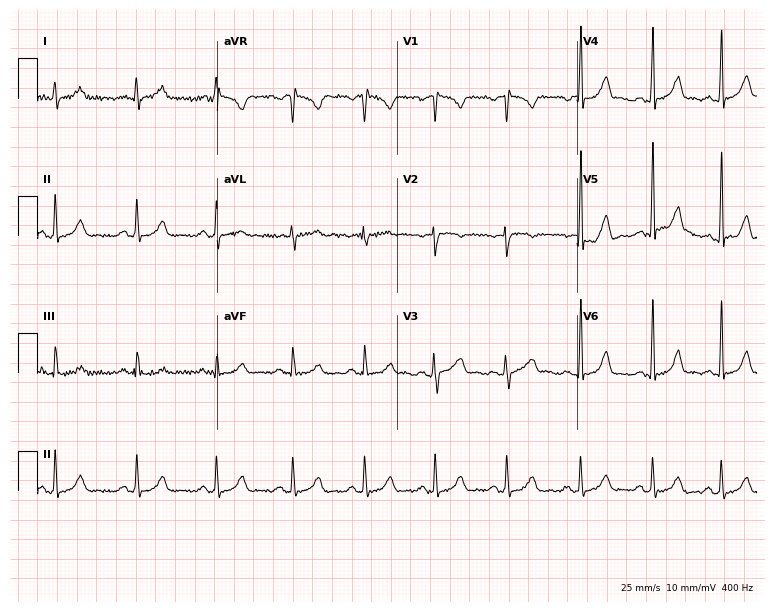
Resting 12-lead electrocardiogram (7.3-second recording at 400 Hz). Patient: a woman, 27 years old. Read as a normal ECG.